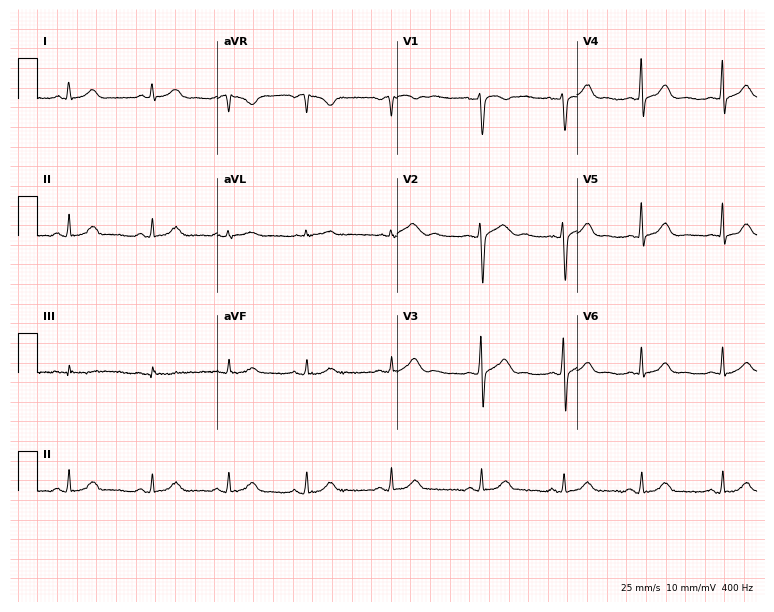
12-lead ECG from a 27-year-old female. No first-degree AV block, right bundle branch block, left bundle branch block, sinus bradycardia, atrial fibrillation or sinus tachycardia recorded for this tracing.